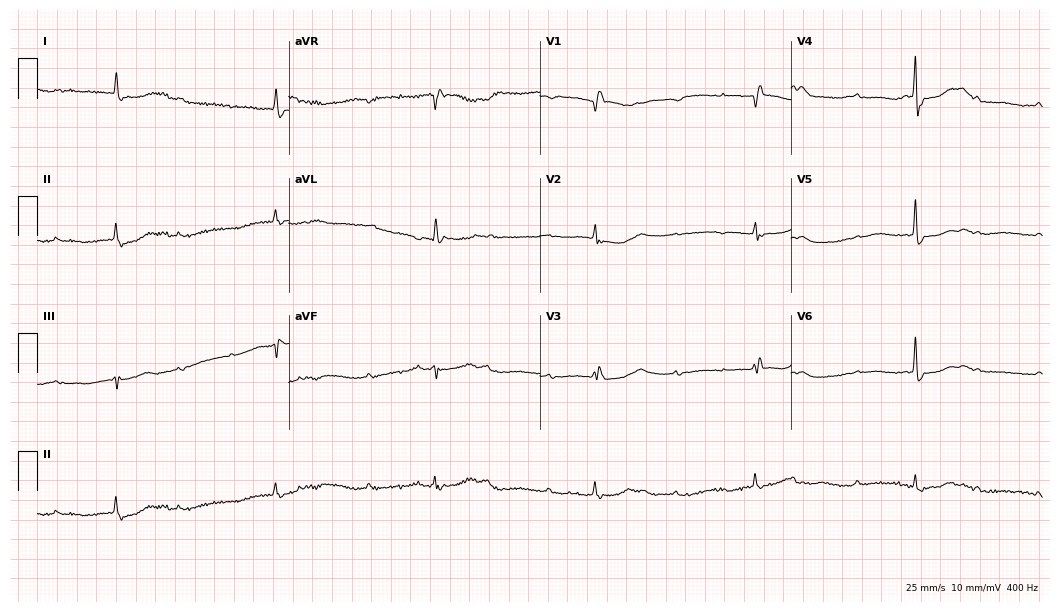
ECG — an 87-year-old woman. Findings include first-degree AV block.